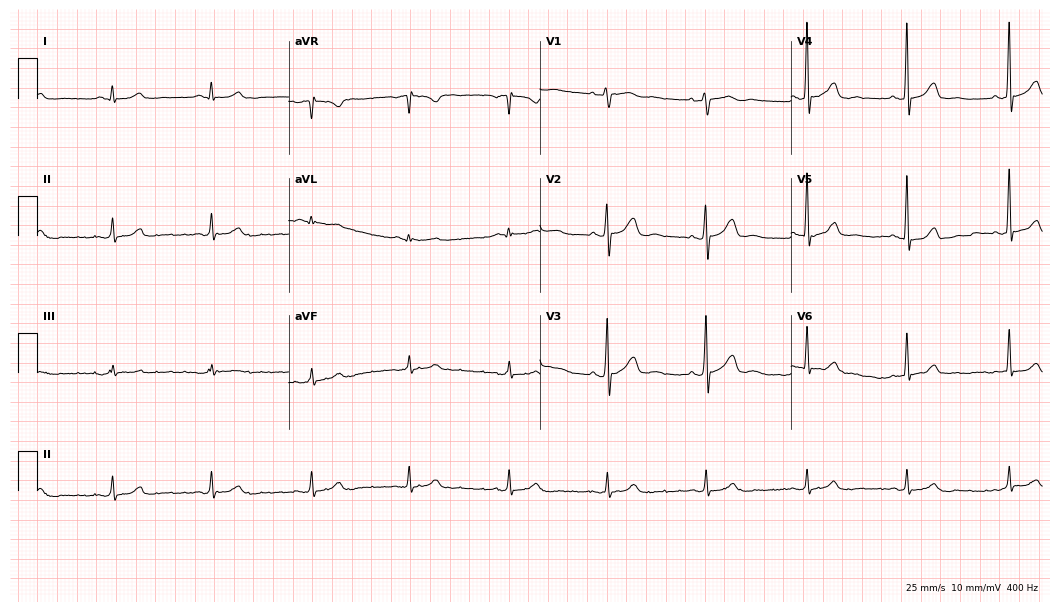
Resting 12-lead electrocardiogram (10.2-second recording at 400 Hz). Patient: a 73-year-old man. Read as a normal ECG.